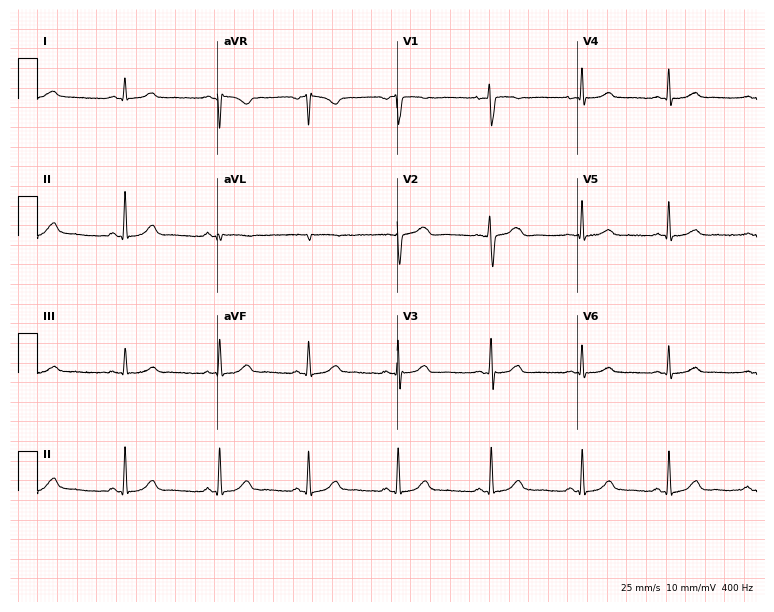
12-lead ECG from a female, 32 years old. Labelled as a normal ECG.